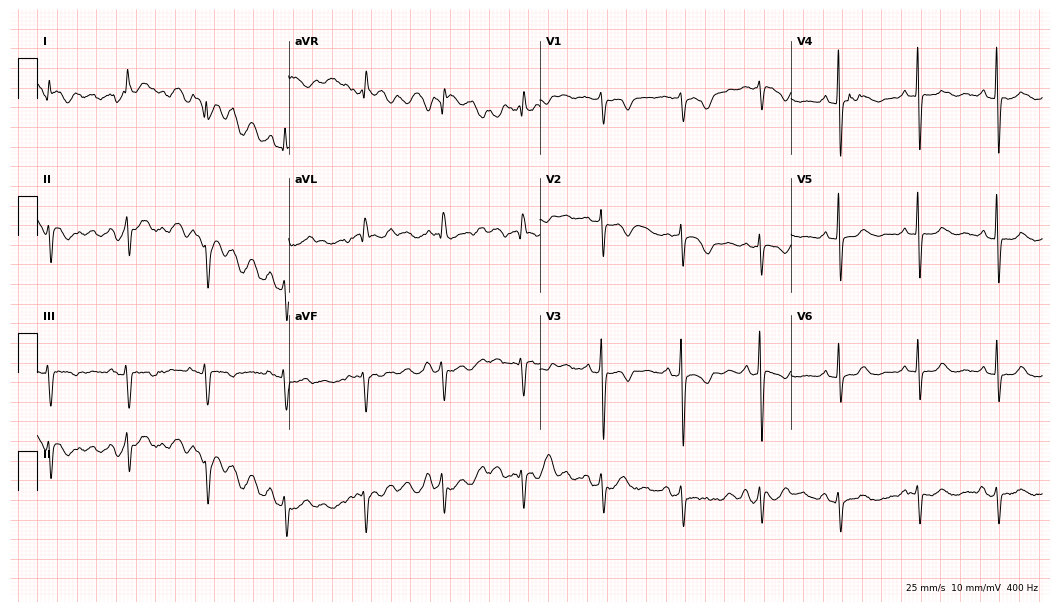
Resting 12-lead electrocardiogram (10.2-second recording at 400 Hz). Patient: a 78-year-old female. None of these six findings is recorded: first-degree AV block, right bundle branch block, left bundle branch block, sinus bradycardia, atrial fibrillation, sinus tachycardia.